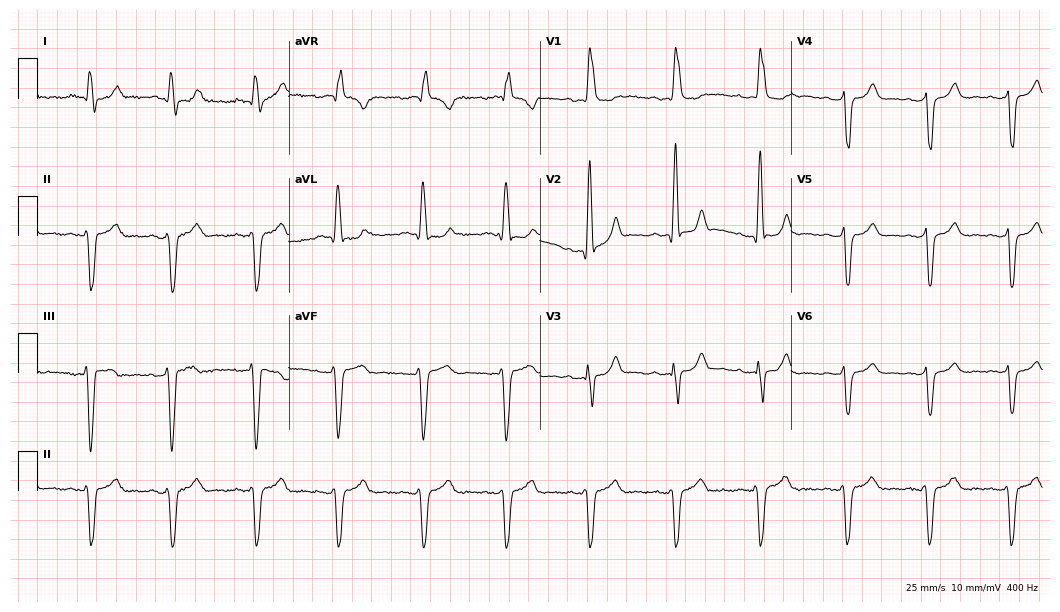
12-lead ECG from a male patient, 63 years old (10.2-second recording at 400 Hz). No first-degree AV block, right bundle branch block, left bundle branch block, sinus bradycardia, atrial fibrillation or sinus tachycardia recorded for this tracing. Only these six findings were labelled.